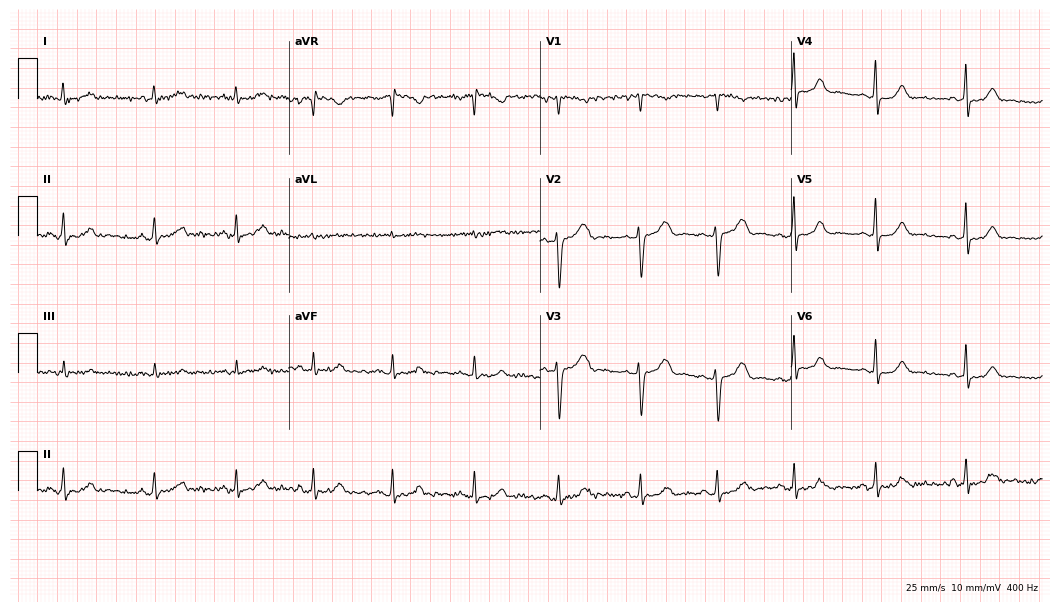
ECG (10.2-second recording at 400 Hz) — a female patient, 33 years old. Screened for six findings — first-degree AV block, right bundle branch block (RBBB), left bundle branch block (LBBB), sinus bradycardia, atrial fibrillation (AF), sinus tachycardia — none is recorded.